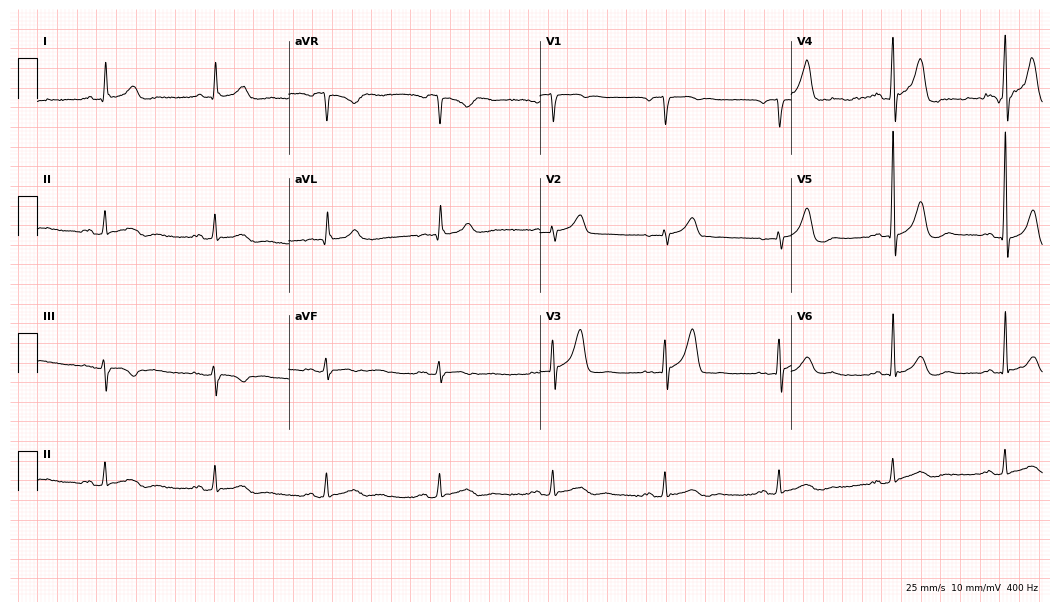
12-lead ECG from a male patient, 75 years old (10.2-second recording at 400 Hz). Recorded interpretation: within normal limits.